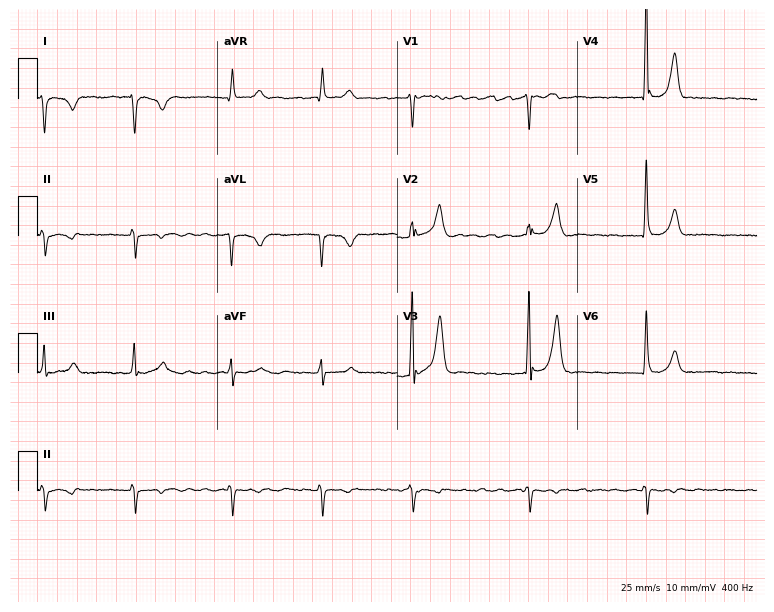
Standard 12-lead ECG recorded from a man, 68 years old. None of these six findings is recorded: first-degree AV block, right bundle branch block (RBBB), left bundle branch block (LBBB), sinus bradycardia, atrial fibrillation (AF), sinus tachycardia.